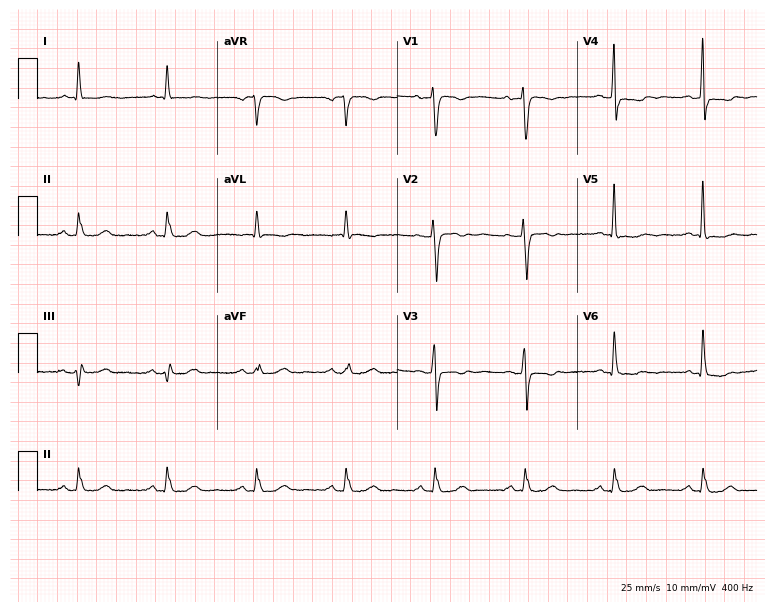
Electrocardiogram (7.3-second recording at 400 Hz), a 62-year-old female patient. Of the six screened findings (first-degree AV block, right bundle branch block (RBBB), left bundle branch block (LBBB), sinus bradycardia, atrial fibrillation (AF), sinus tachycardia), none is recorded.